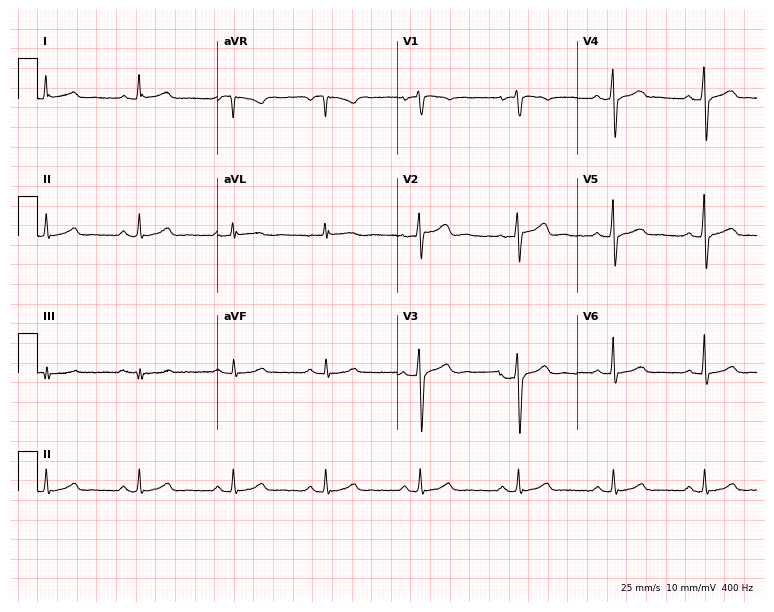
ECG — a 41-year-old male. Labelled as a normal ECG.